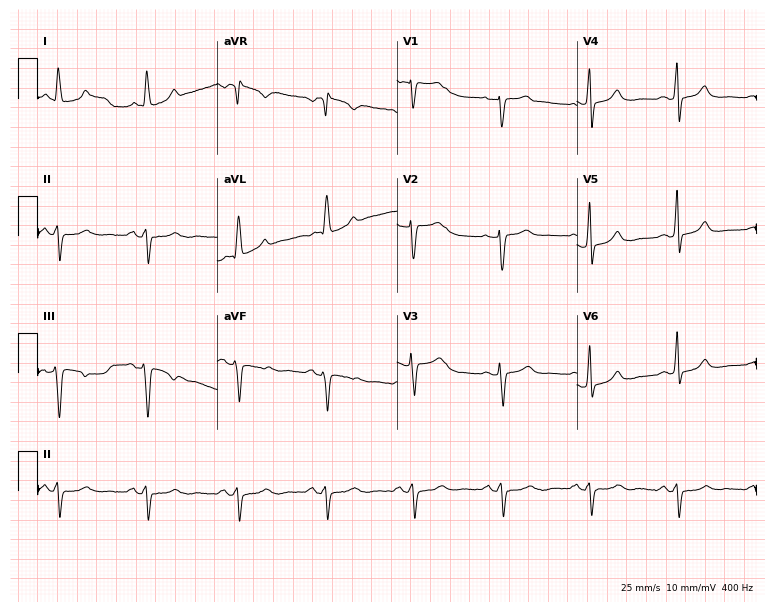
Resting 12-lead electrocardiogram (7.3-second recording at 400 Hz). Patient: a 55-year-old woman. None of these six findings is recorded: first-degree AV block, right bundle branch block, left bundle branch block, sinus bradycardia, atrial fibrillation, sinus tachycardia.